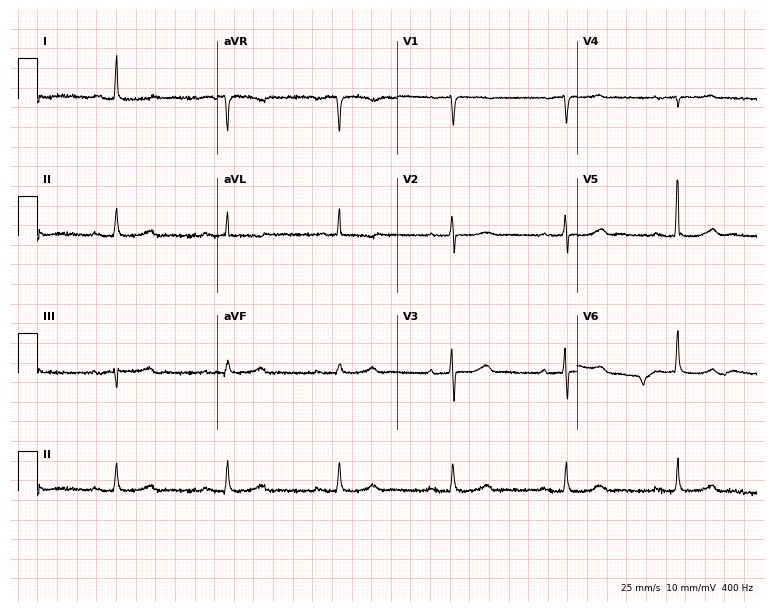
12-lead ECG from a female patient, 67 years old. Shows first-degree AV block.